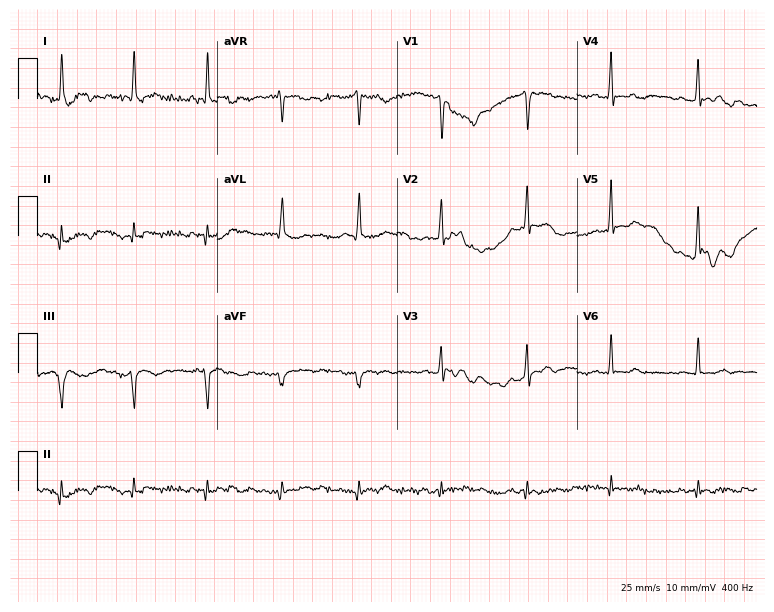
Resting 12-lead electrocardiogram (7.3-second recording at 400 Hz). Patient: a 51-year-old male. None of these six findings is recorded: first-degree AV block, right bundle branch block, left bundle branch block, sinus bradycardia, atrial fibrillation, sinus tachycardia. Findings outside these six are not listed.